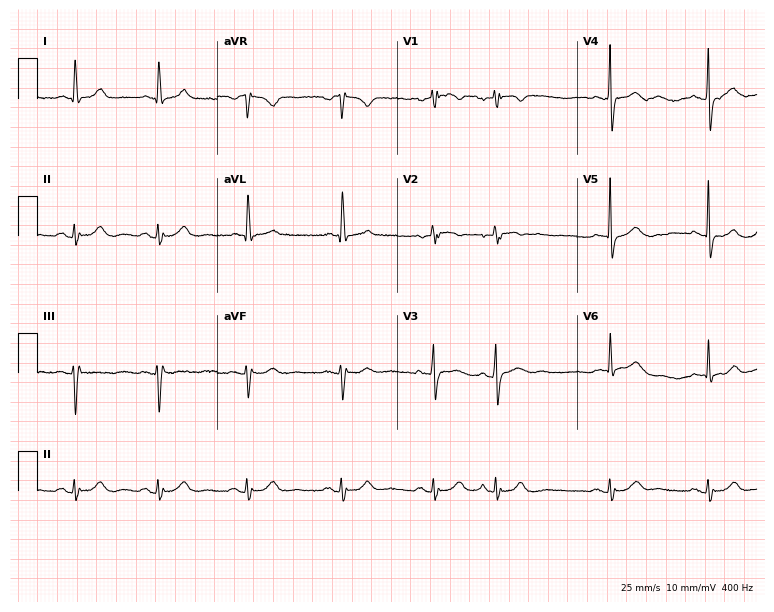
ECG — a female, 62 years old. Labelled as a normal ECG.